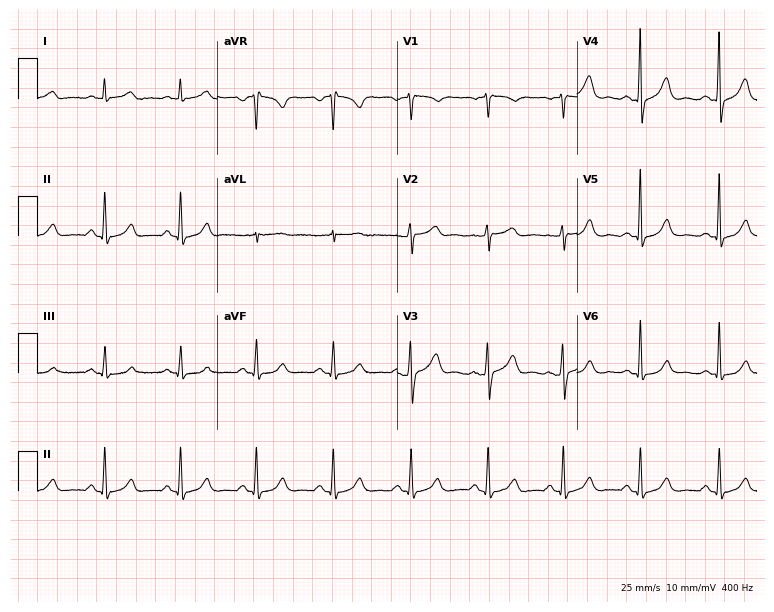
Electrocardiogram, a 57-year-old male. Overall reading on record: normal ECG.